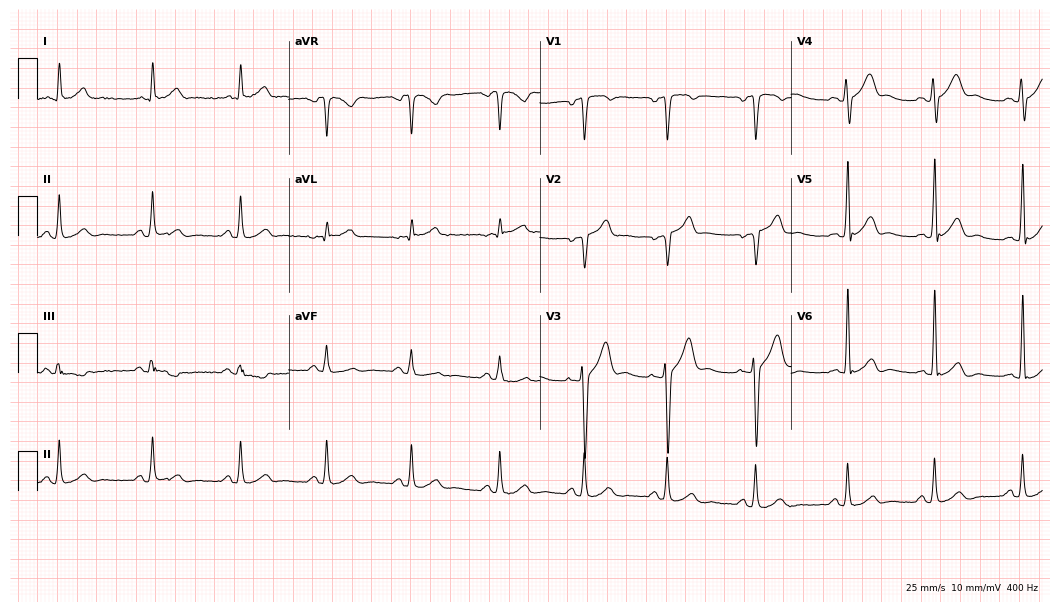
Electrocardiogram (10.2-second recording at 400 Hz), a male, 41 years old. Overall reading on record: normal ECG.